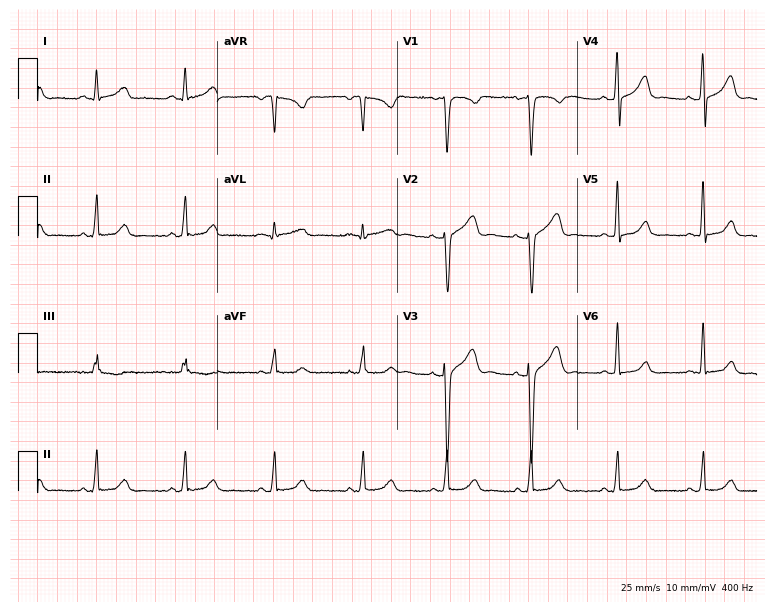
12-lead ECG from a 29-year-old woman. Recorded interpretation: within normal limits.